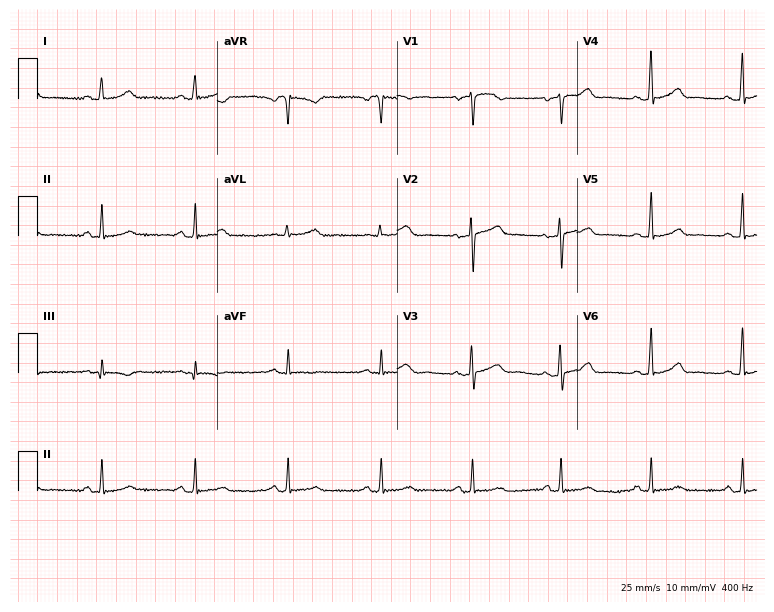
Standard 12-lead ECG recorded from a 51-year-old woman (7.3-second recording at 400 Hz). Read as a normal ECG.